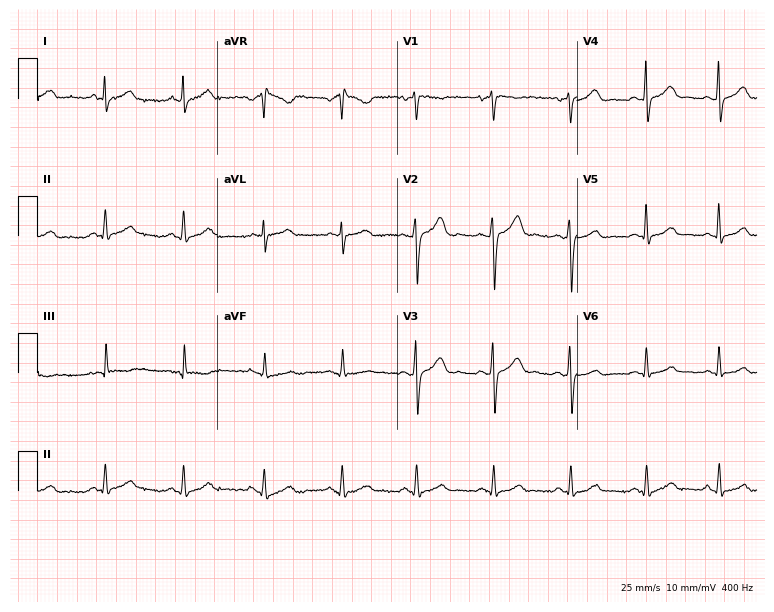
Resting 12-lead electrocardiogram. Patient: a 30-year-old man. Read as a normal ECG.